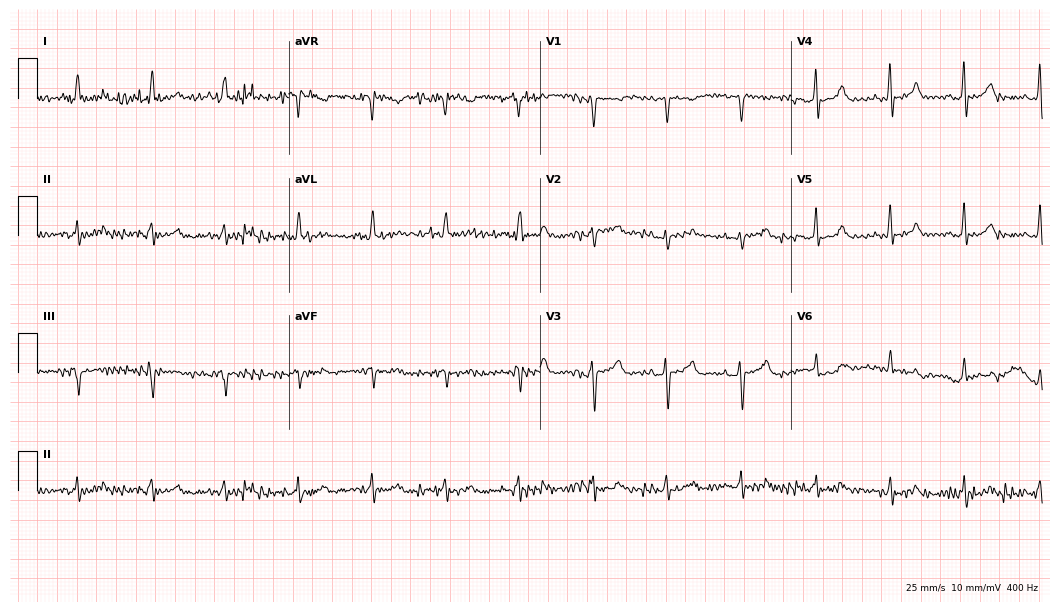
ECG (10.2-second recording at 400 Hz) — a 46-year-old woman. Screened for six findings — first-degree AV block, right bundle branch block (RBBB), left bundle branch block (LBBB), sinus bradycardia, atrial fibrillation (AF), sinus tachycardia — none is recorded. Findings outside these six are not listed.